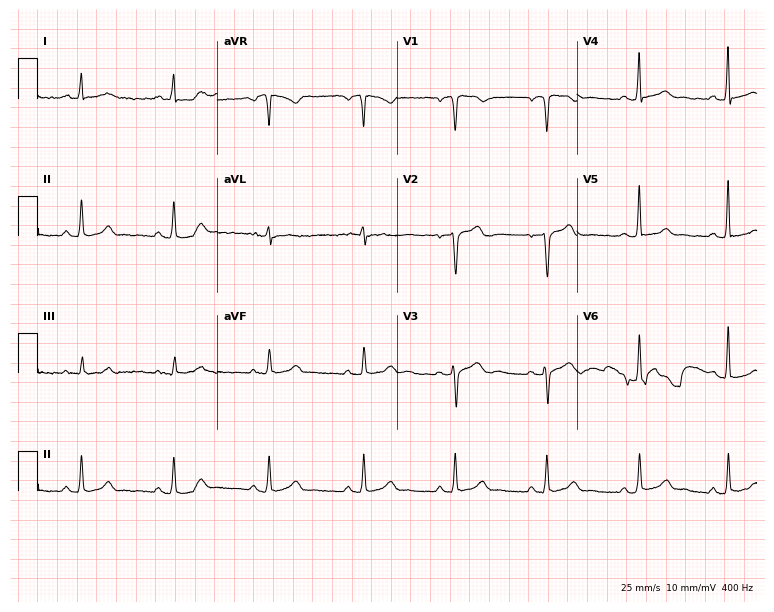
Standard 12-lead ECG recorded from a male patient, 40 years old. Read as a normal ECG.